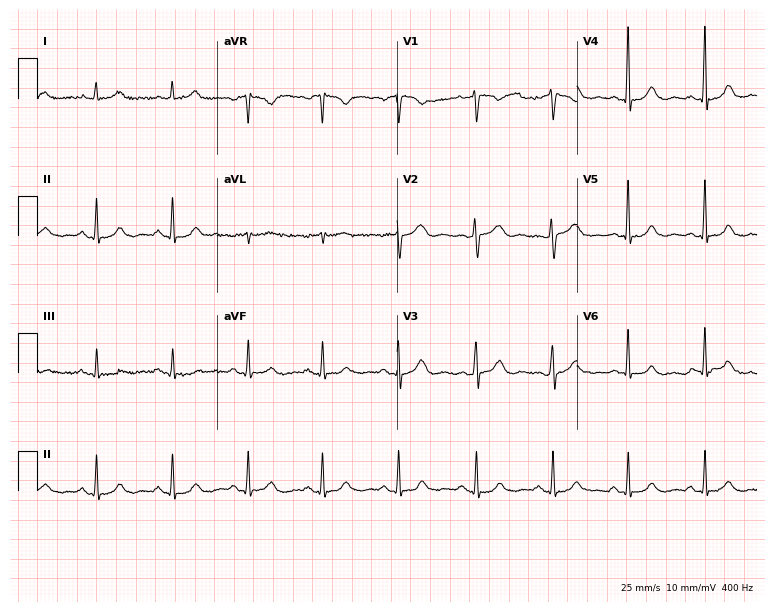
12-lead ECG from a 52-year-old female (7.3-second recording at 400 Hz). No first-degree AV block, right bundle branch block (RBBB), left bundle branch block (LBBB), sinus bradycardia, atrial fibrillation (AF) or sinus tachycardia recorded for this tracing. Only these six findings were labelled.